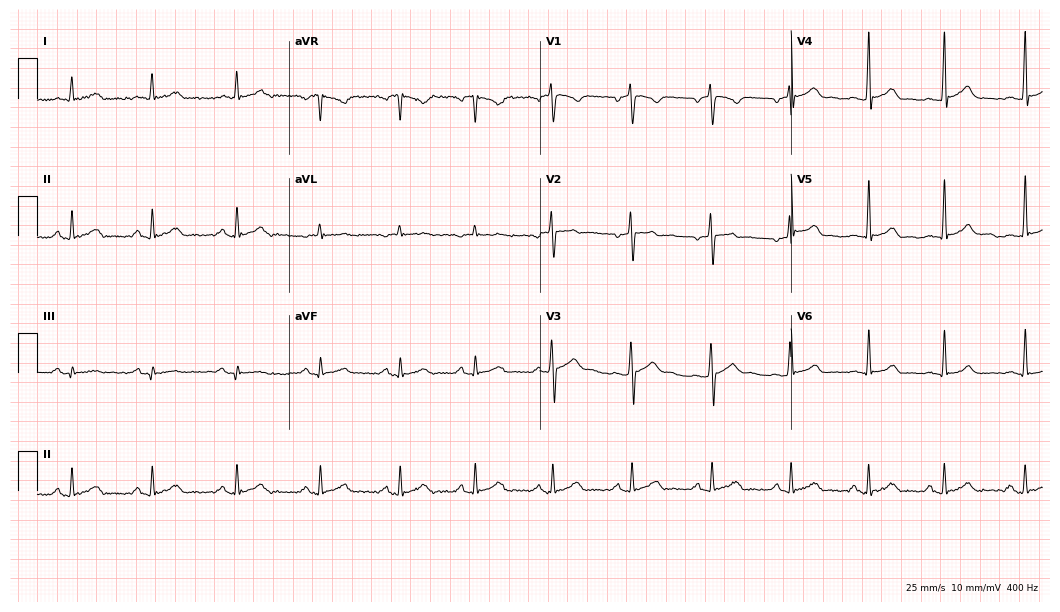
ECG (10.2-second recording at 400 Hz) — a 36-year-old male patient. Screened for six findings — first-degree AV block, right bundle branch block (RBBB), left bundle branch block (LBBB), sinus bradycardia, atrial fibrillation (AF), sinus tachycardia — none is recorded. Other findings, if any, are not listed.